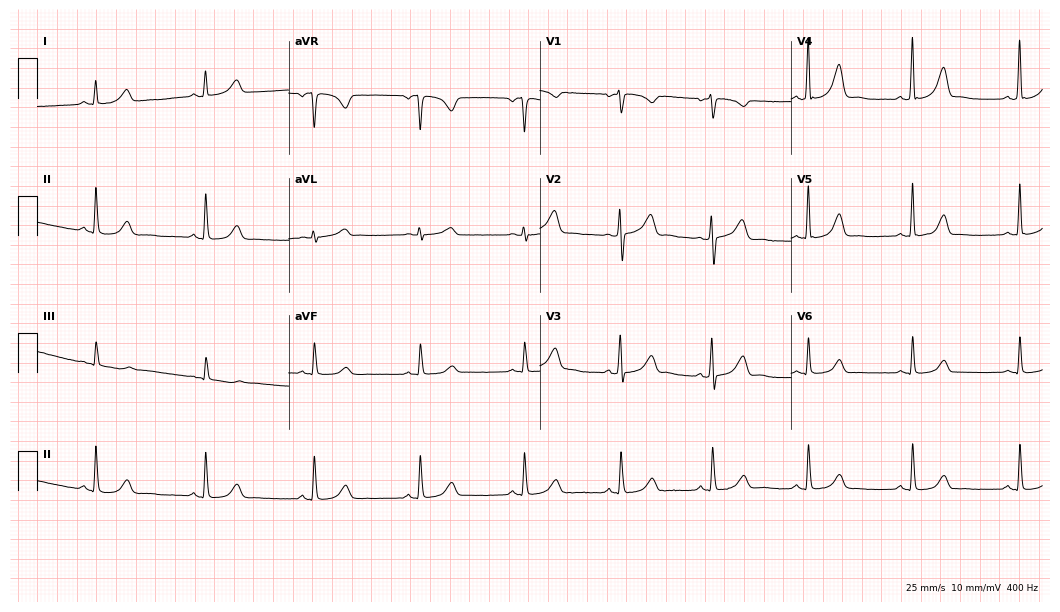
Electrocardiogram, a 43-year-old female. Overall reading on record: normal ECG.